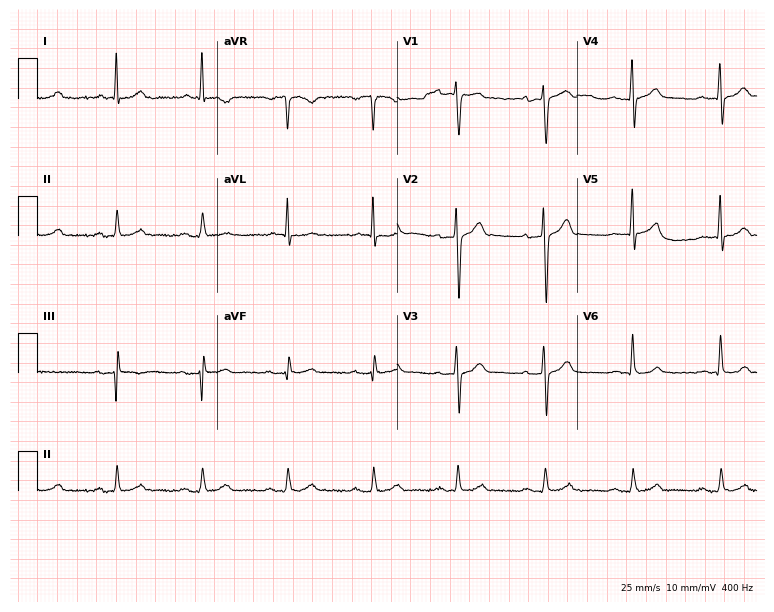
Resting 12-lead electrocardiogram (7.3-second recording at 400 Hz). Patient: a 46-year-old male. Read as a normal ECG.